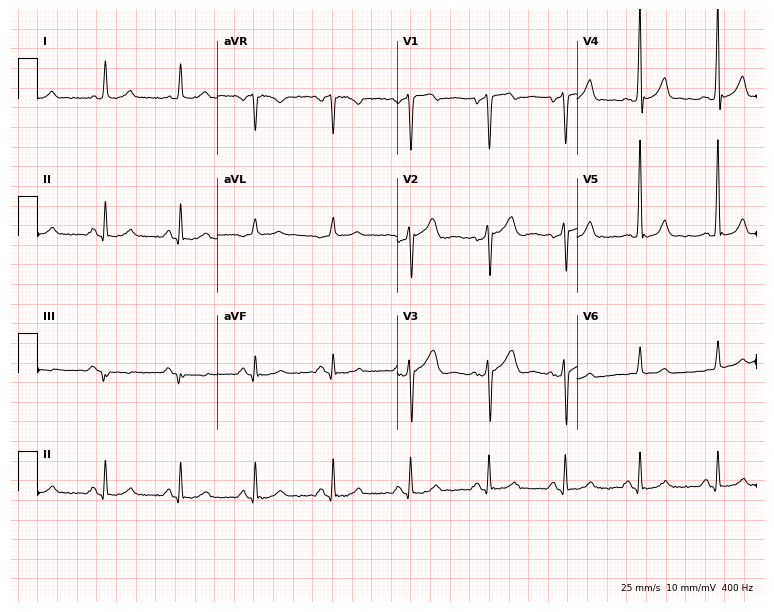
Standard 12-lead ECG recorded from a 55-year-old male patient (7.3-second recording at 400 Hz). None of these six findings is recorded: first-degree AV block, right bundle branch block (RBBB), left bundle branch block (LBBB), sinus bradycardia, atrial fibrillation (AF), sinus tachycardia. Findings outside these six are not listed.